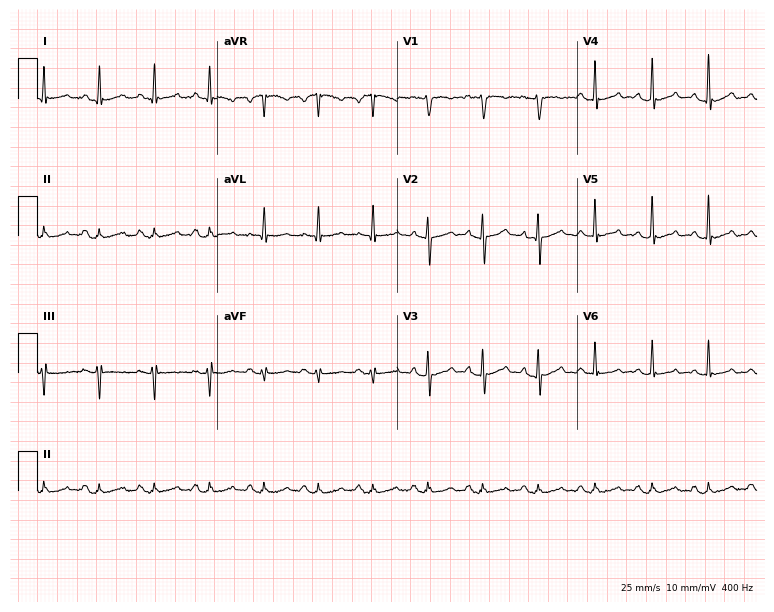
12-lead ECG from a 64-year-old male (7.3-second recording at 400 Hz). Shows sinus tachycardia (a sinus rate of 100 beats per minute or more).